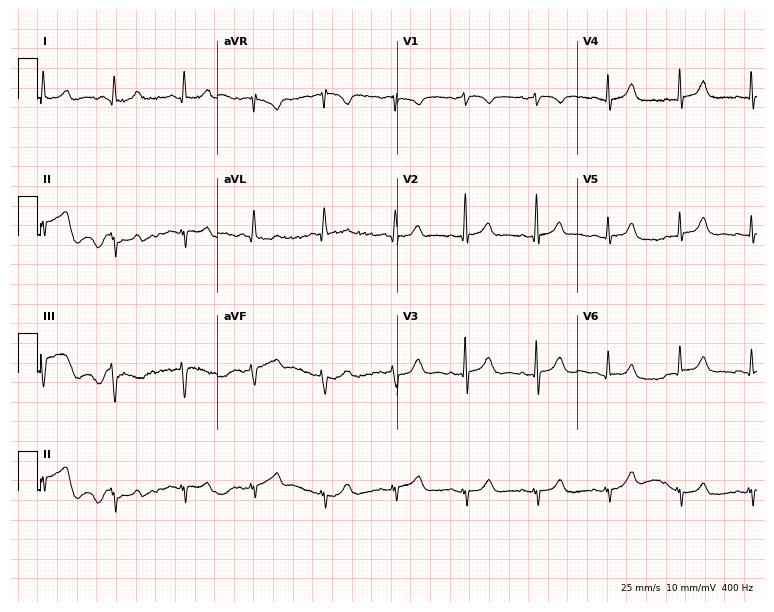
Electrocardiogram (7.3-second recording at 400 Hz), an 81-year-old woman. Of the six screened findings (first-degree AV block, right bundle branch block, left bundle branch block, sinus bradycardia, atrial fibrillation, sinus tachycardia), none is recorded. Findings outside these six are not listed.